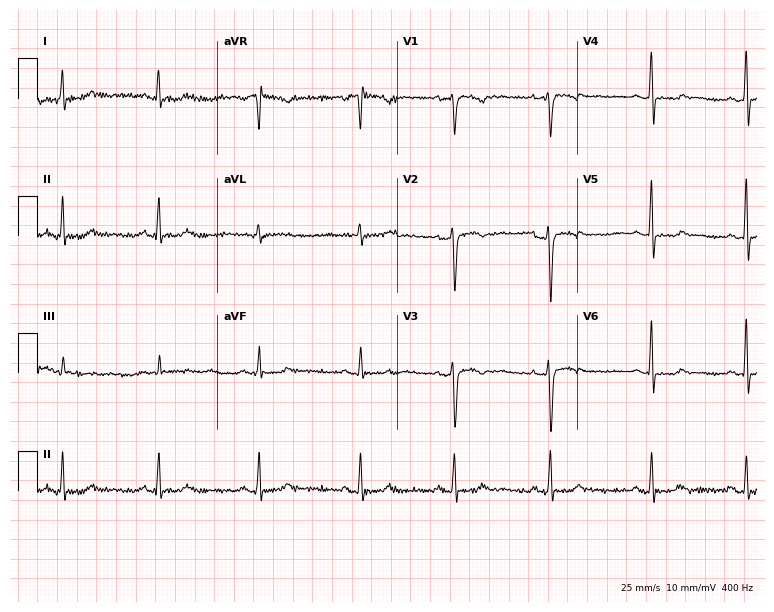
ECG (7.3-second recording at 400 Hz) — a female, 39 years old. Screened for six findings — first-degree AV block, right bundle branch block, left bundle branch block, sinus bradycardia, atrial fibrillation, sinus tachycardia — none is recorded. Other findings, if any, are not listed.